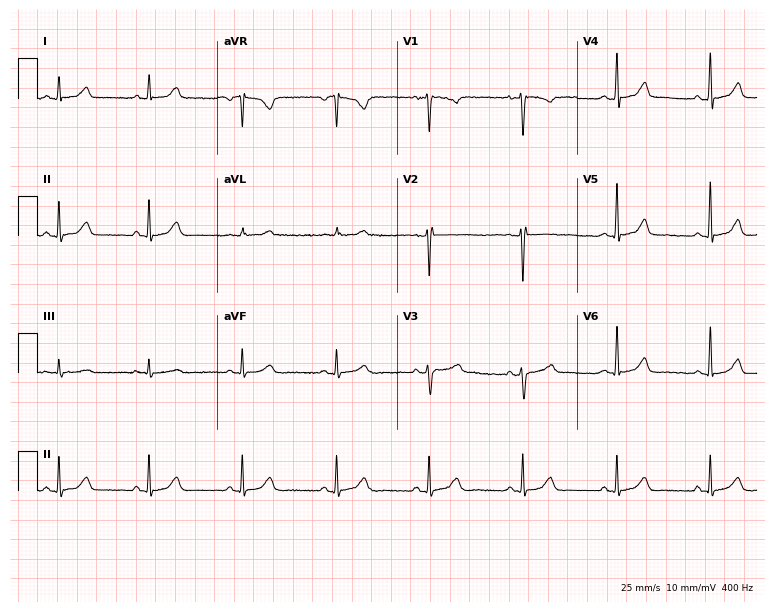
12-lead ECG from a 47-year-old female patient. Screened for six findings — first-degree AV block, right bundle branch block (RBBB), left bundle branch block (LBBB), sinus bradycardia, atrial fibrillation (AF), sinus tachycardia — none is recorded. Findings outside these six are not listed.